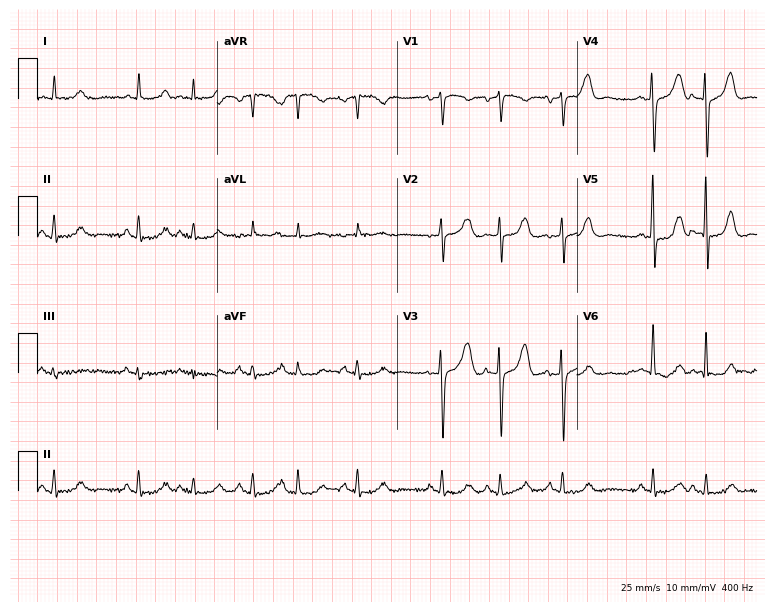
ECG (7.3-second recording at 400 Hz) — a female, 72 years old. Screened for six findings — first-degree AV block, right bundle branch block, left bundle branch block, sinus bradycardia, atrial fibrillation, sinus tachycardia — none is recorded.